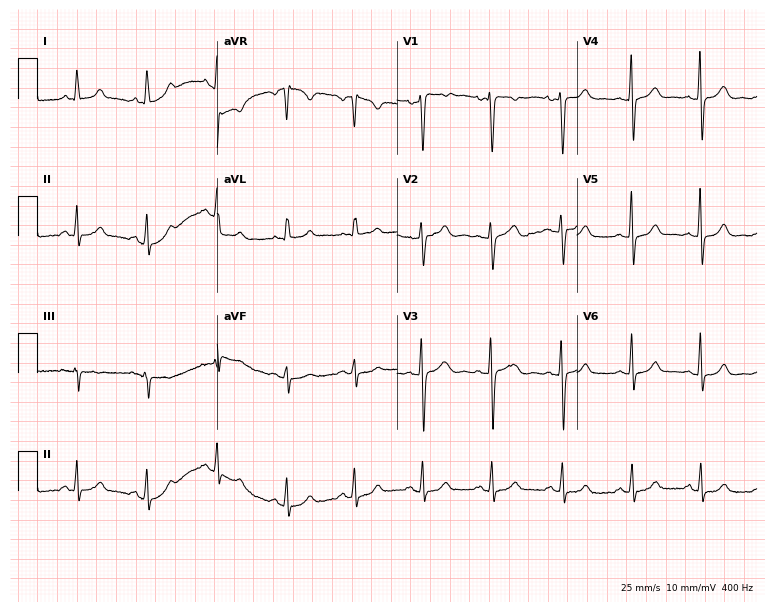
Electrocardiogram (7.3-second recording at 400 Hz), a woman, 34 years old. Overall reading on record: normal ECG.